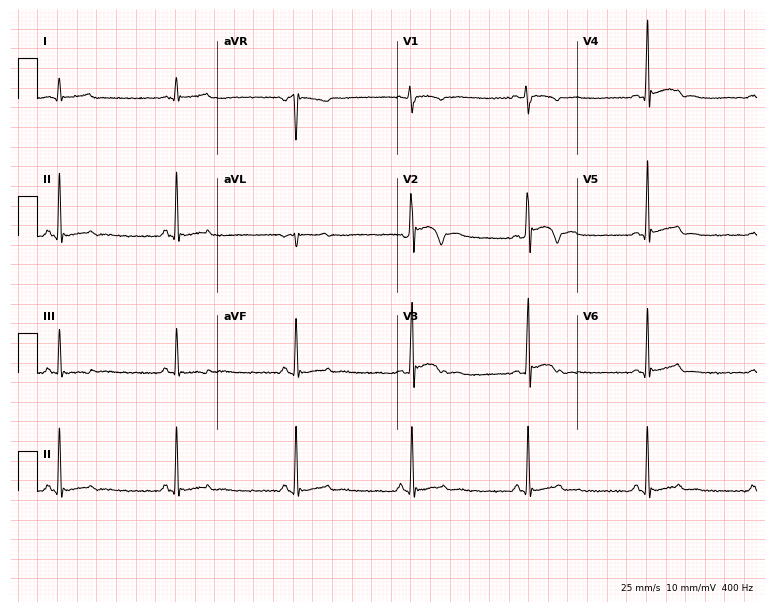
Standard 12-lead ECG recorded from an 18-year-old man (7.3-second recording at 400 Hz). Read as a normal ECG.